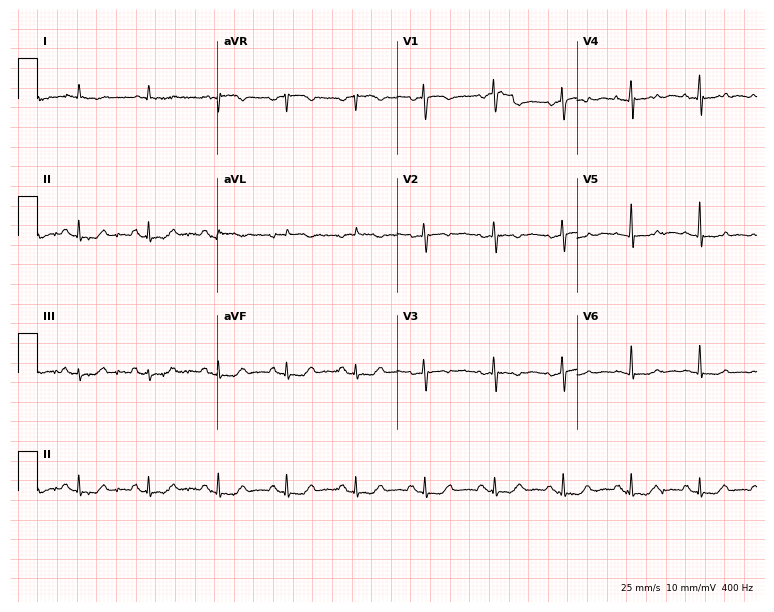
12-lead ECG from a woman, 73 years old. Screened for six findings — first-degree AV block, right bundle branch block, left bundle branch block, sinus bradycardia, atrial fibrillation, sinus tachycardia — none is recorded.